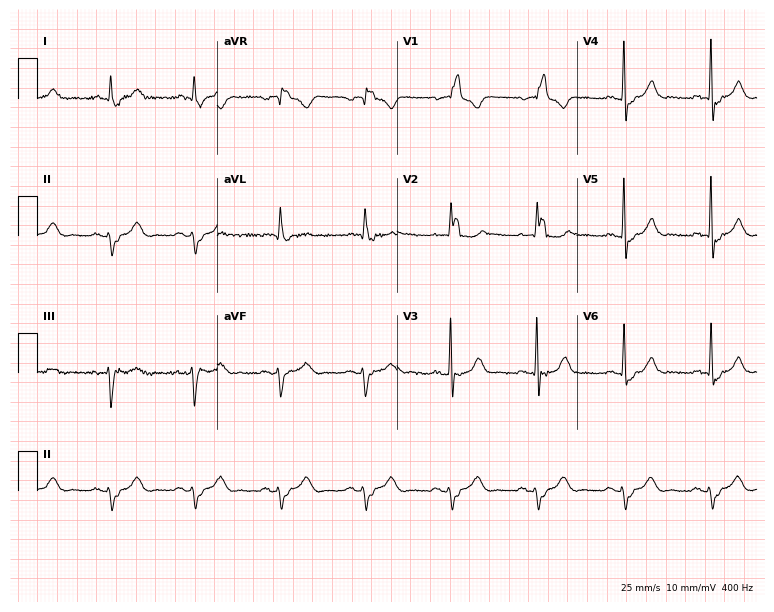
ECG — an 81-year-old male. Findings include right bundle branch block.